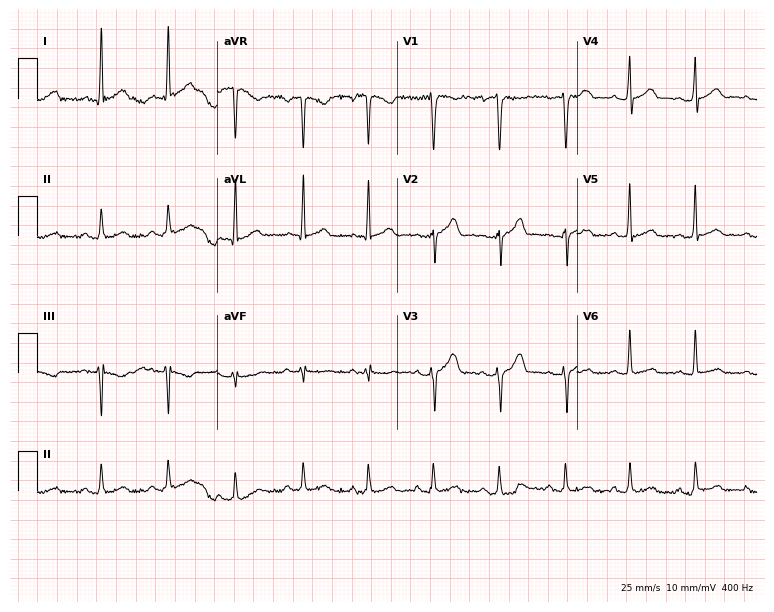
12-lead ECG from a 29-year-old man (7.3-second recording at 400 Hz). Recorded interpretation: within normal limits.